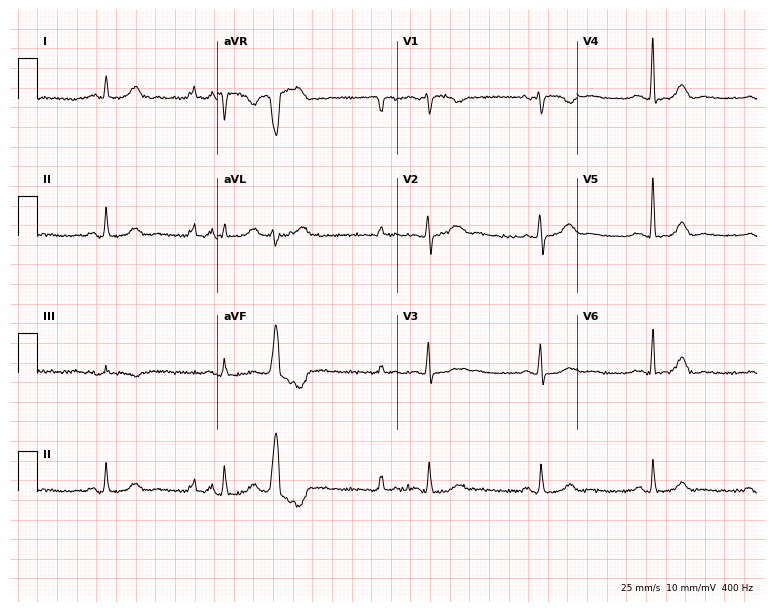
Standard 12-lead ECG recorded from a female, 61 years old. Read as a normal ECG.